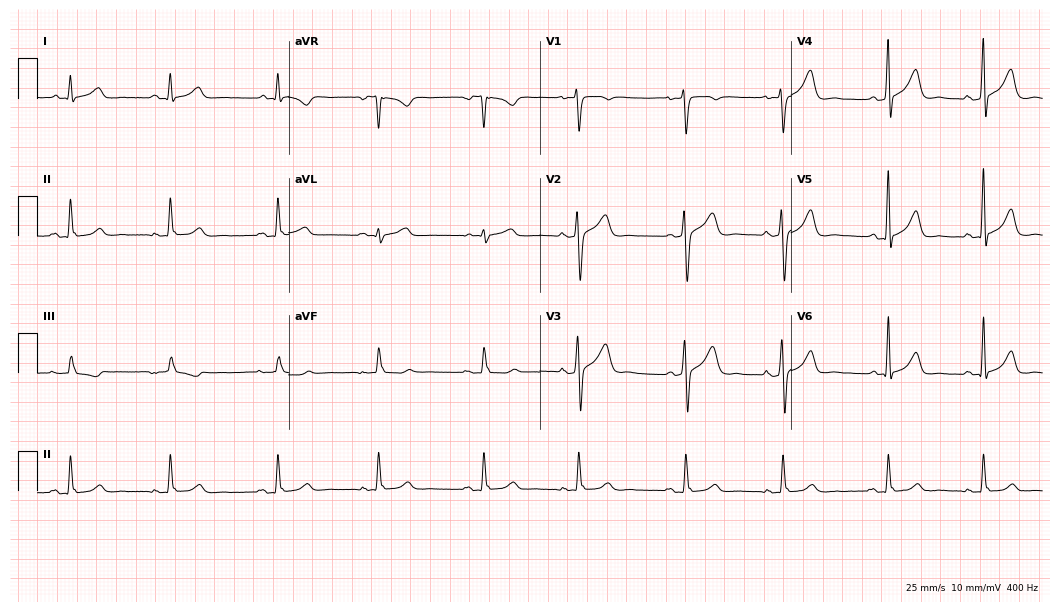
12-lead ECG from a 45-year-old woman. Screened for six findings — first-degree AV block, right bundle branch block, left bundle branch block, sinus bradycardia, atrial fibrillation, sinus tachycardia — none is recorded. Findings outside these six are not listed.